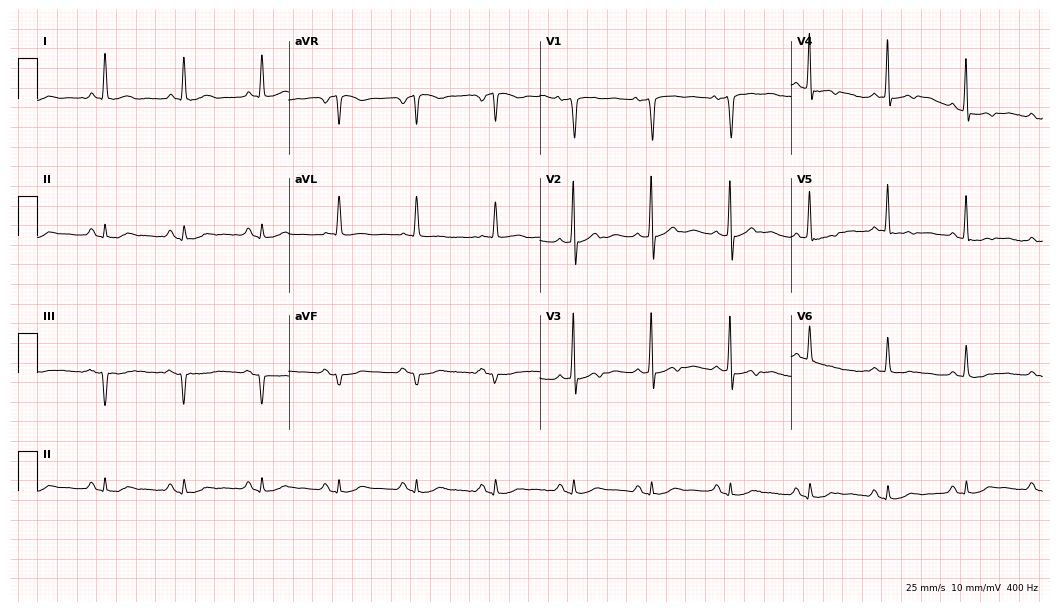
Standard 12-lead ECG recorded from a 76-year-old male patient. None of these six findings is recorded: first-degree AV block, right bundle branch block, left bundle branch block, sinus bradycardia, atrial fibrillation, sinus tachycardia. Findings outside these six are not listed.